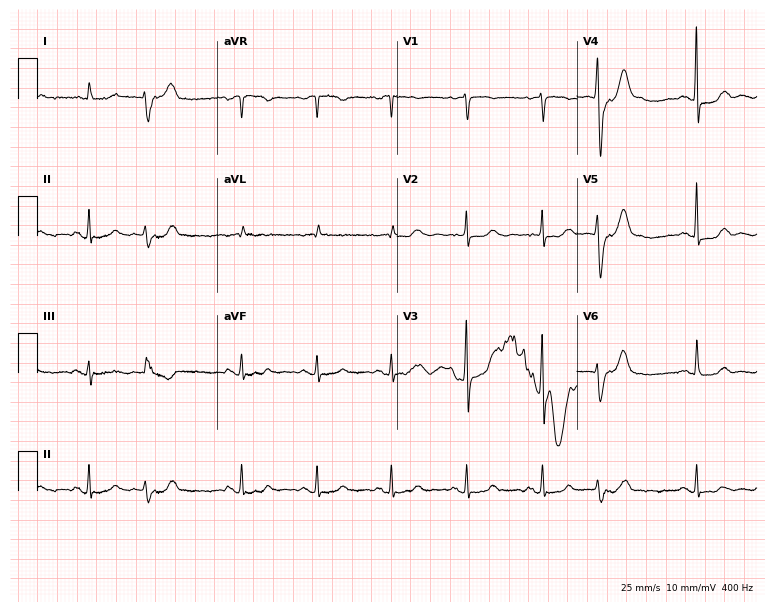
Resting 12-lead electrocardiogram. Patient: an 82-year-old male. None of these six findings is recorded: first-degree AV block, right bundle branch block (RBBB), left bundle branch block (LBBB), sinus bradycardia, atrial fibrillation (AF), sinus tachycardia.